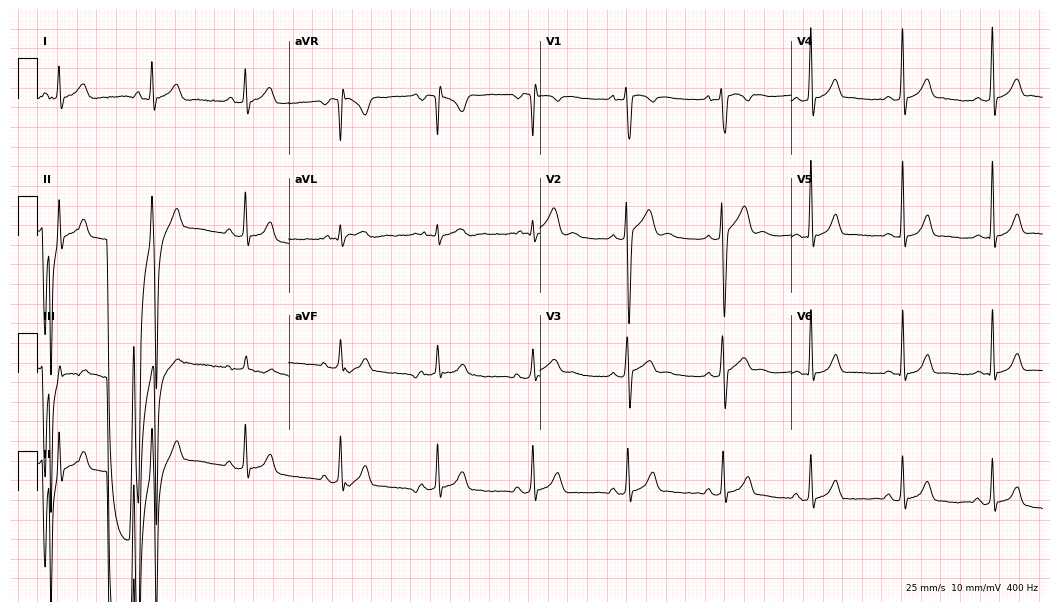
12-lead ECG (10.2-second recording at 400 Hz) from a 23-year-old male patient. Labelled as a normal ECG.